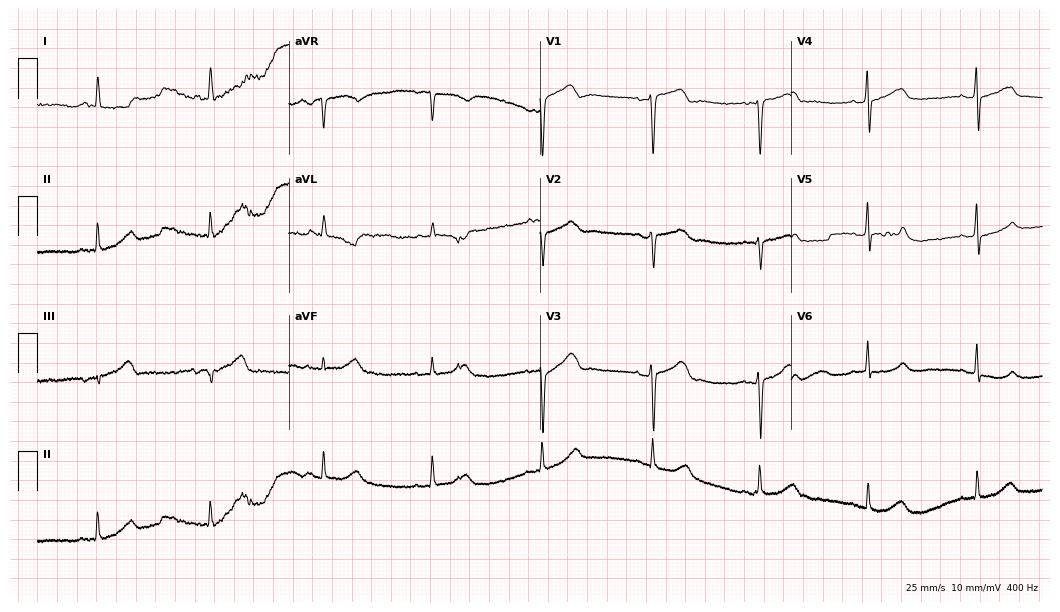
12-lead ECG (10.2-second recording at 400 Hz) from a female patient, 66 years old. Screened for six findings — first-degree AV block, right bundle branch block, left bundle branch block, sinus bradycardia, atrial fibrillation, sinus tachycardia — none is recorded. Findings outside these six are not listed.